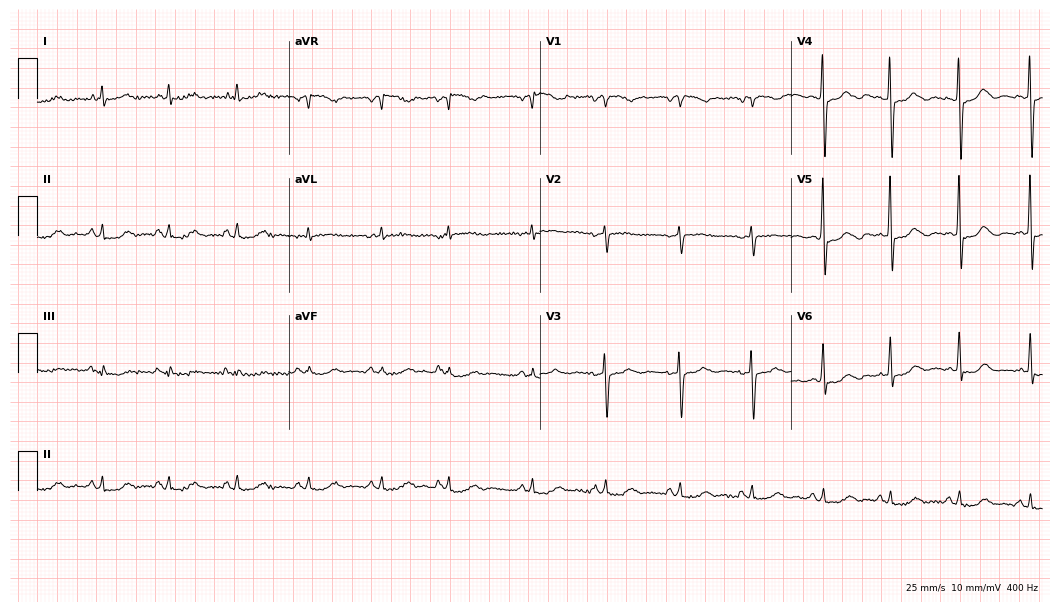
ECG — a female patient, 78 years old. Screened for six findings — first-degree AV block, right bundle branch block, left bundle branch block, sinus bradycardia, atrial fibrillation, sinus tachycardia — none is recorded.